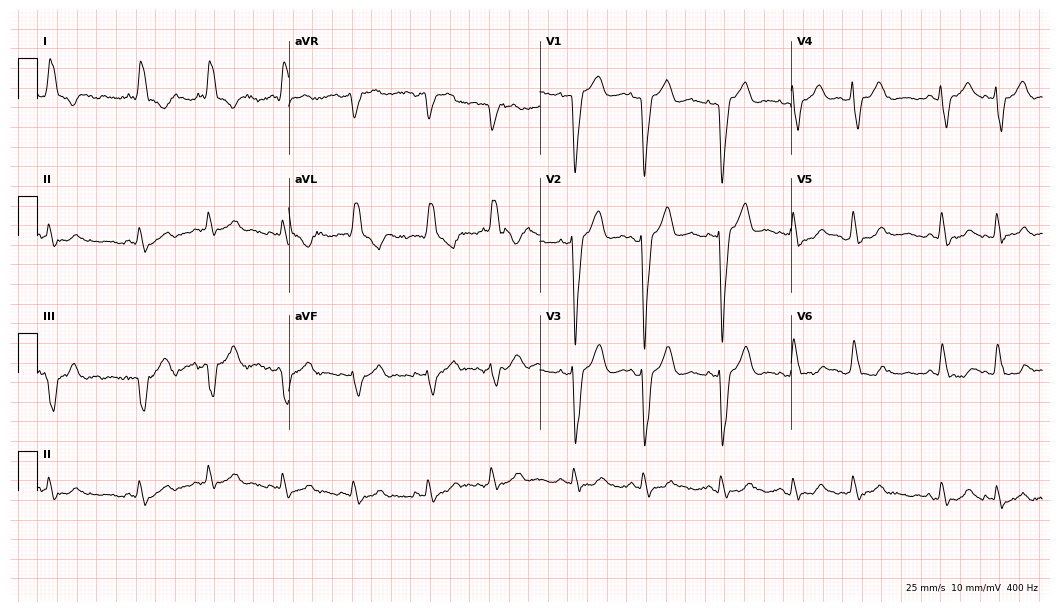
Electrocardiogram, an 84-year-old female patient. Interpretation includes left bundle branch block.